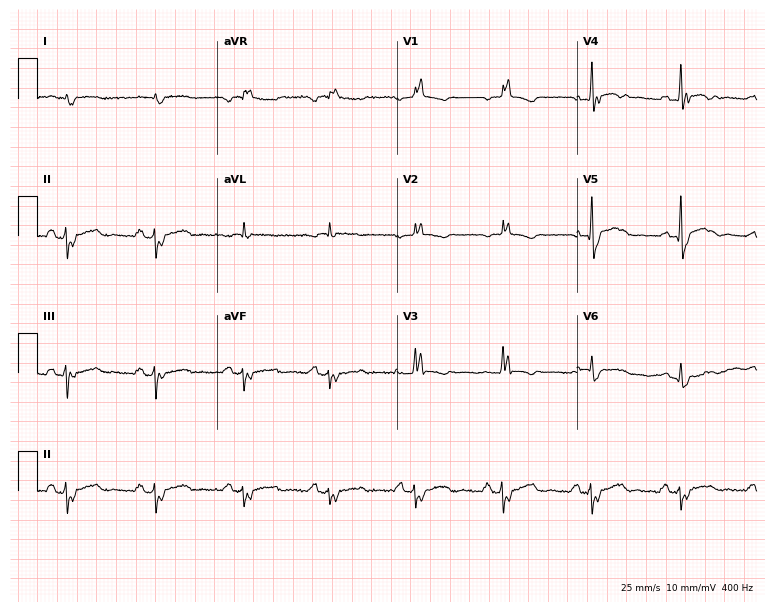
12-lead ECG from a male, 77 years old (7.3-second recording at 400 Hz). Shows right bundle branch block.